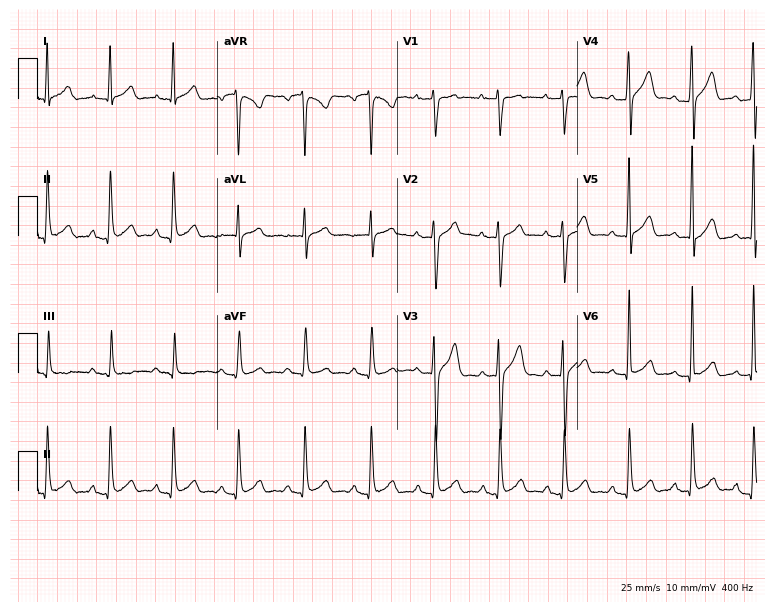
Resting 12-lead electrocardiogram. Patient: a male, 23 years old. Read as a normal ECG.